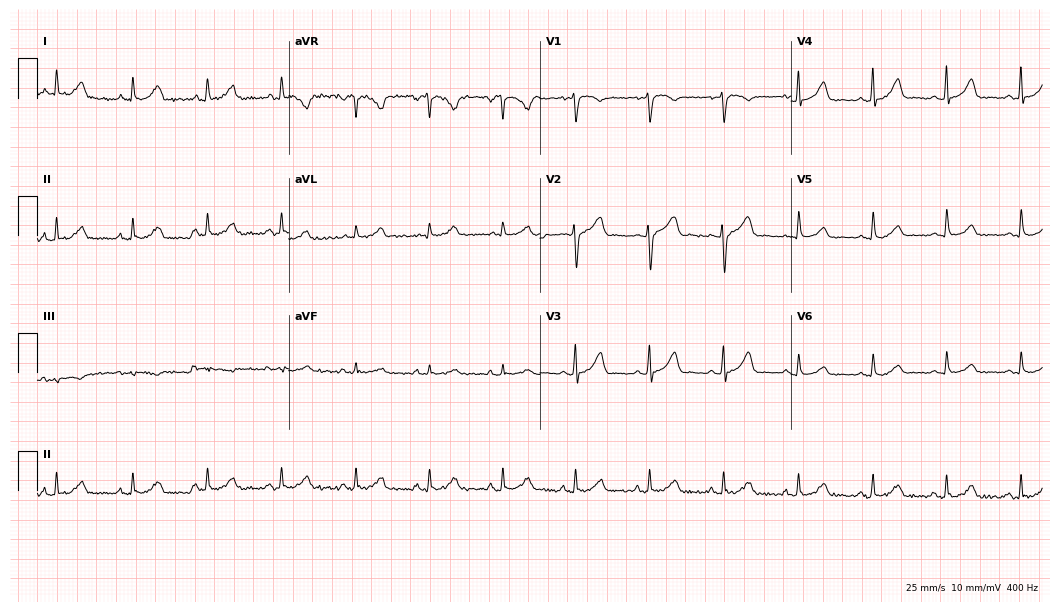
12-lead ECG from a 59-year-old female patient. Recorded interpretation: within normal limits.